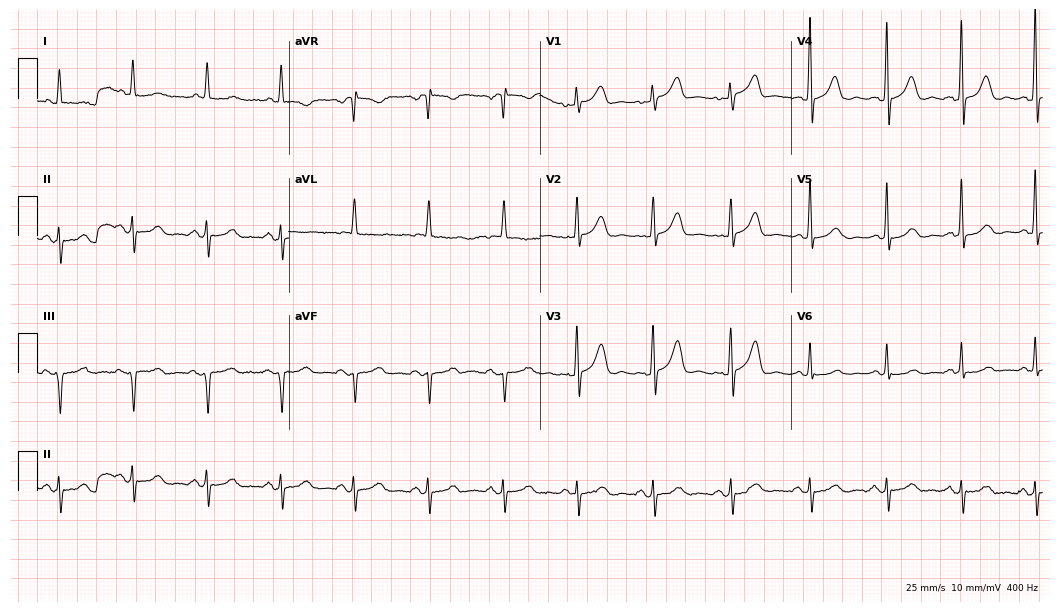
Resting 12-lead electrocardiogram (10.2-second recording at 400 Hz). Patient: a female, 59 years old. None of these six findings is recorded: first-degree AV block, right bundle branch block (RBBB), left bundle branch block (LBBB), sinus bradycardia, atrial fibrillation (AF), sinus tachycardia. Other findings, if any, are not listed.